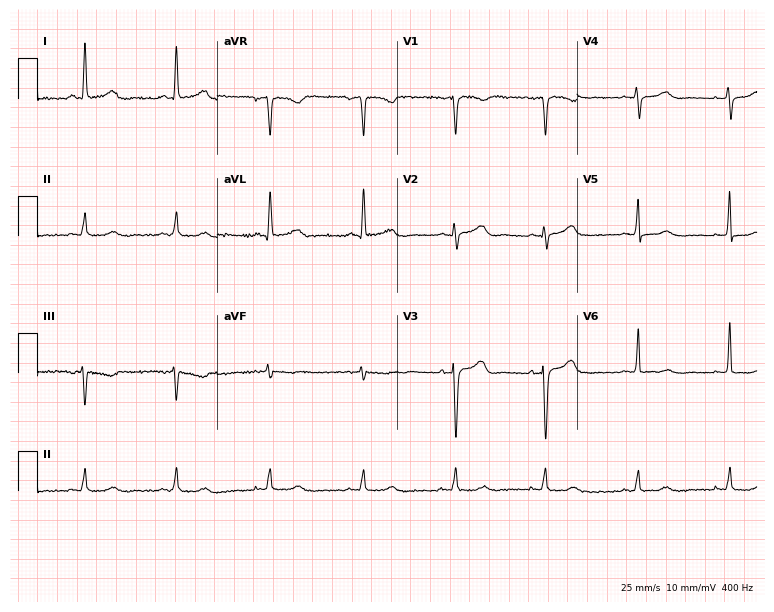
Electrocardiogram (7.3-second recording at 400 Hz), a 60-year-old female patient. Of the six screened findings (first-degree AV block, right bundle branch block, left bundle branch block, sinus bradycardia, atrial fibrillation, sinus tachycardia), none is recorded. Findings outside these six are not listed.